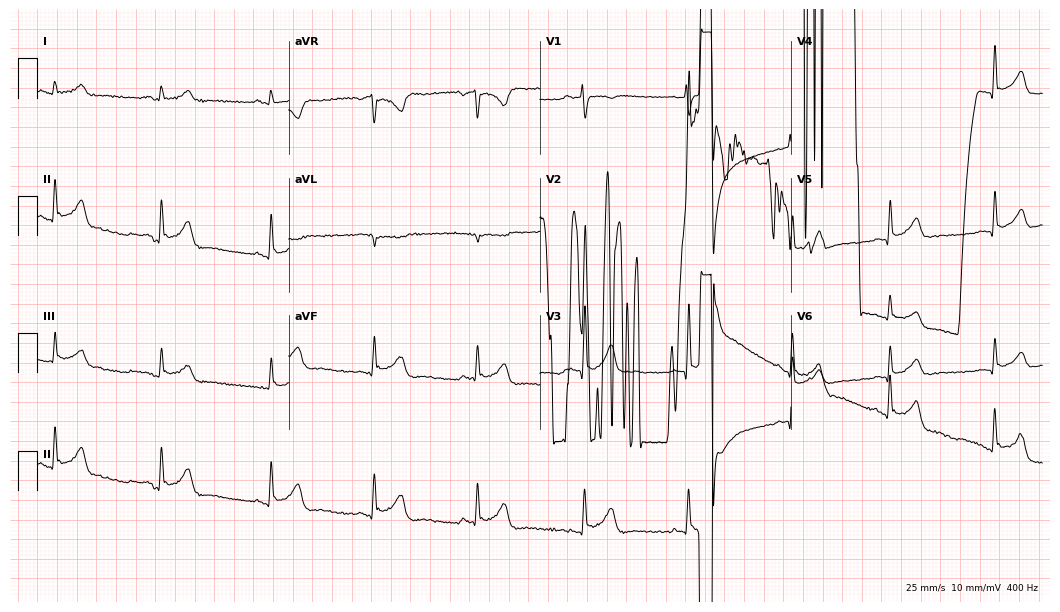
ECG (10.2-second recording at 400 Hz) — a 32-year-old man. Screened for six findings — first-degree AV block, right bundle branch block, left bundle branch block, sinus bradycardia, atrial fibrillation, sinus tachycardia — none is recorded. Other findings, if any, are not listed.